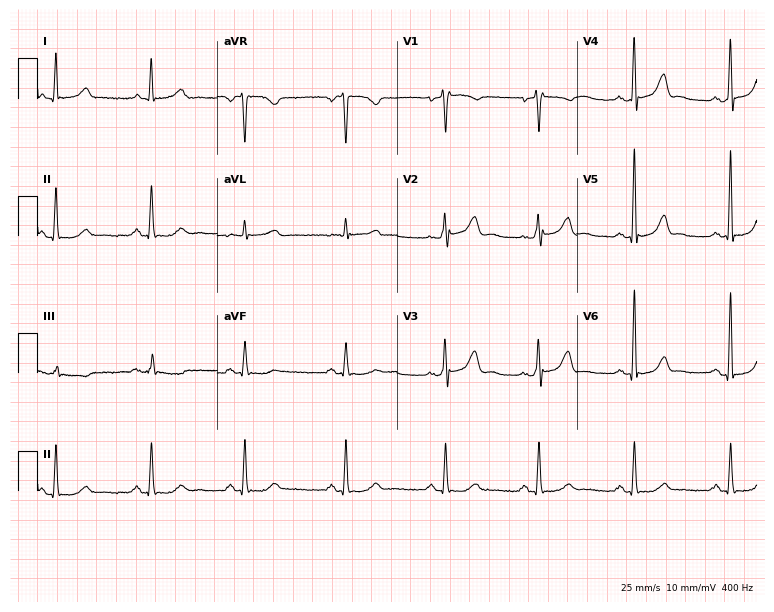
Electrocardiogram, a 57-year-old female. Of the six screened findings (first-degree AV block, right bundle branch block, left bundle branch block, sinus bradycardia, atrial fibrillation, sinus tachycardia), none is recorded. Findings outside these six are not listed.